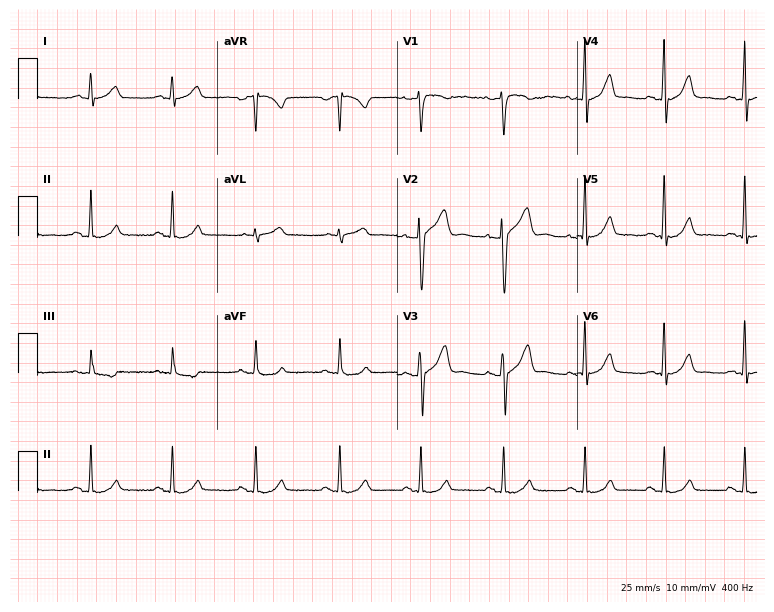
ECG — a man, 50 years old. Labelled as a normal ECG.